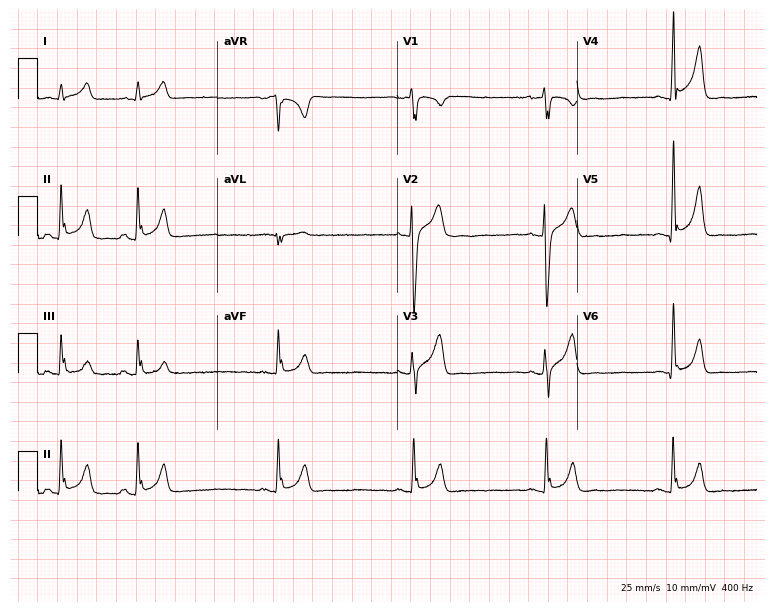
Resting 12-lead electrocardiogram. Patient: a 23-year-old man. The tracing shows sinus bradycardia (a sinus rate of 50 beats per minute or less).